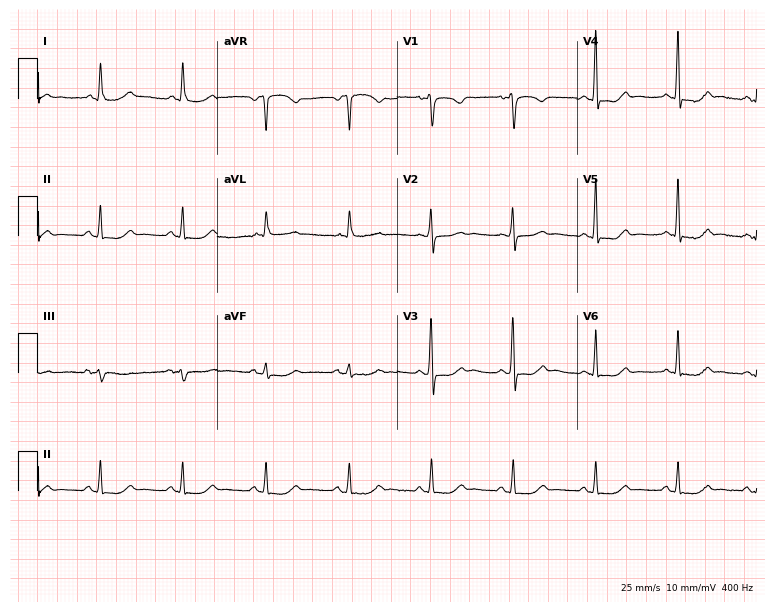
12-lead ECG from a female patient, 68 years old (7.3-second recording at 400 Hz). No first-degree AV block, right bundle branch block (RBBB), left bundle branch block (LBBB), sinus bradycardia, atrial fibrillation (AF) or sinus tachycardia recorded for this tracing.